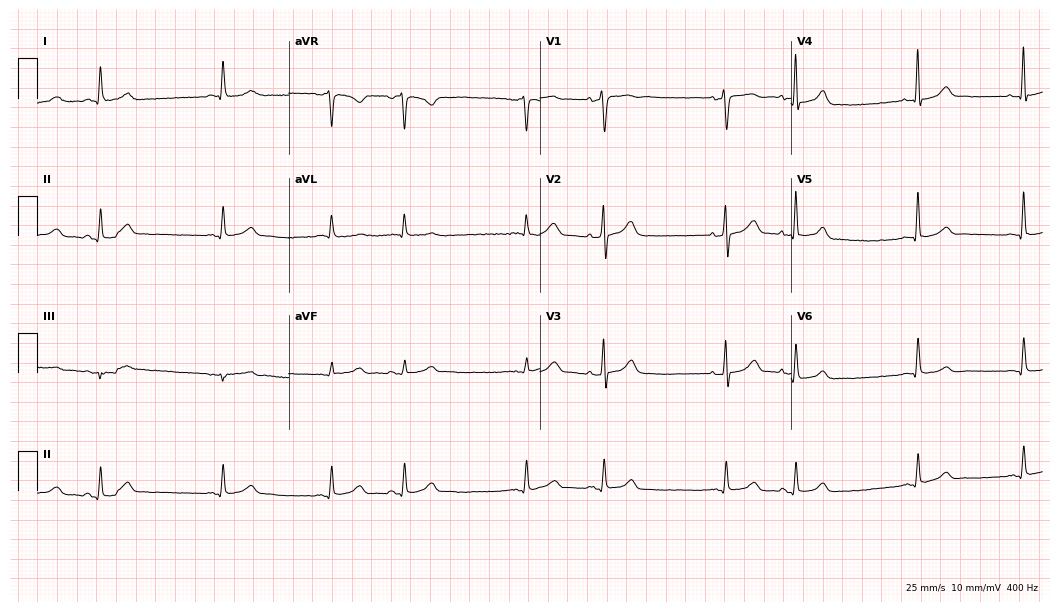
Standard 12-lead ECG recorded from a 67-year-old male patient (10.2-second recording at 400 Hz). Read as a normal ECG.